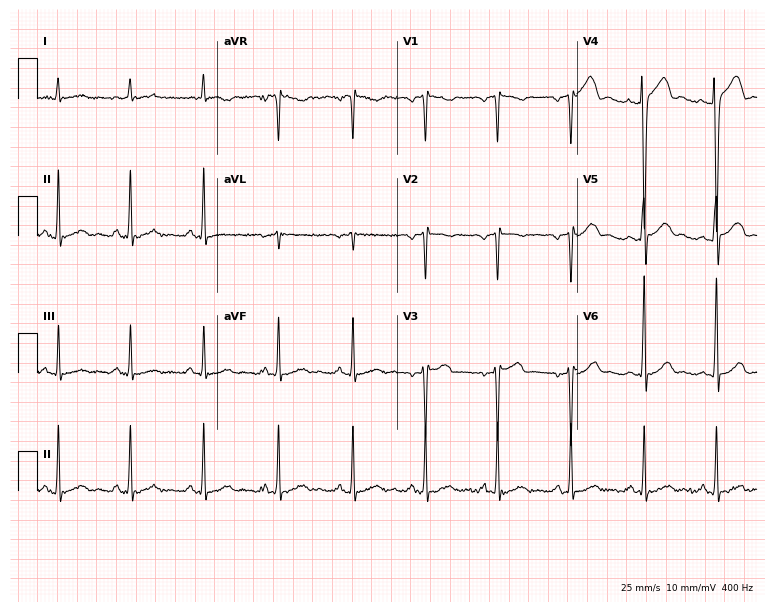
12-lead ECG from a 31-year-old man (7.3-second recording at 400 Hz). No first-degree AV block, right bundle branch block, left bundle branch block, sinus bradycardia, atrial fibrillation or sinus tachycardia recorded for this tracing. Only these six findings were labelled.